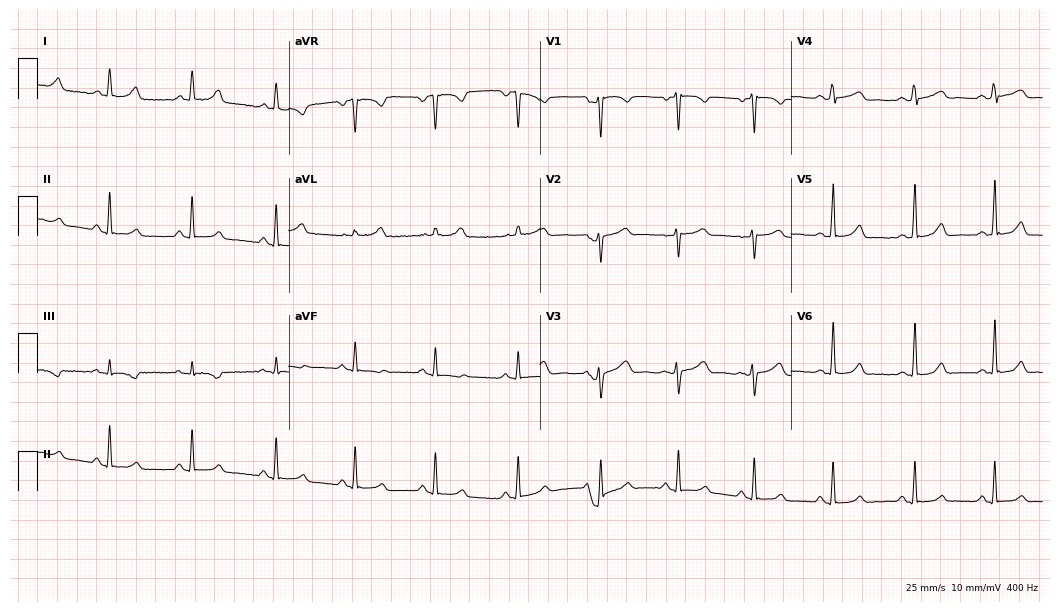
Standard 12-lead ECG recorded from a 39-year-old female patient. Read as a normal ECG.